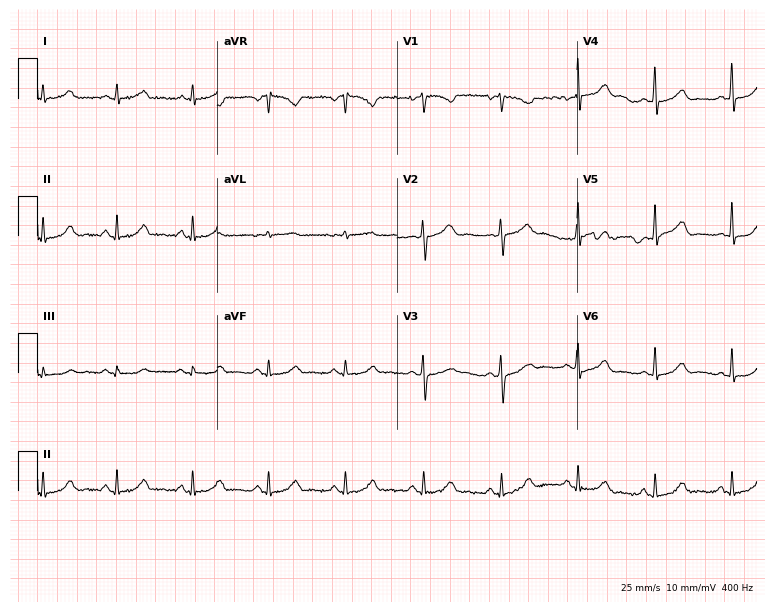
Resting 12-lead electrocardiogram (7.3-second recording at 400 Hz). Patient: a 36-year-old woman. Read as a normal ECG.